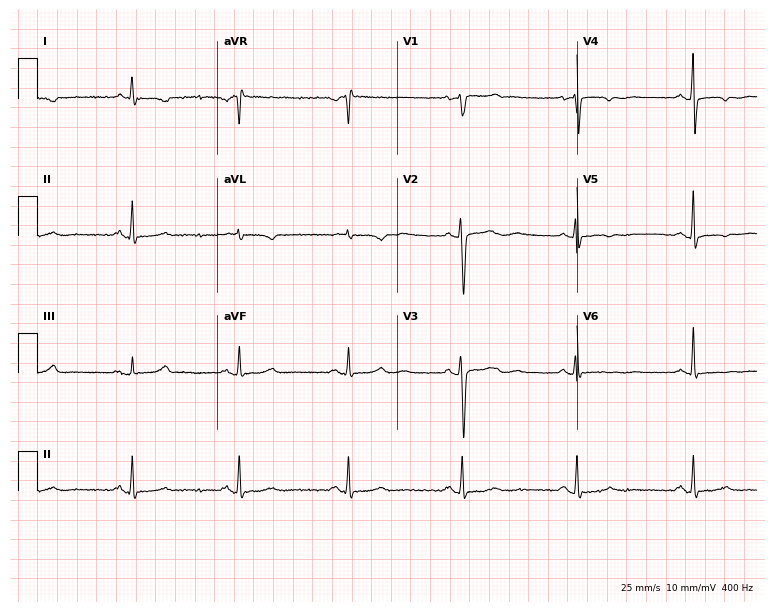
Resting 12-lead electrocardiogram. Patient: a female, 51 years old. None of these six findings is recorded: first-degree AV block, right bundle branch block (RBBB), left bundle branch block (LBBB), sinus bradycardia, atrial fibrillation (AF), sinus tachycardia. Findings outside these six are not listed.